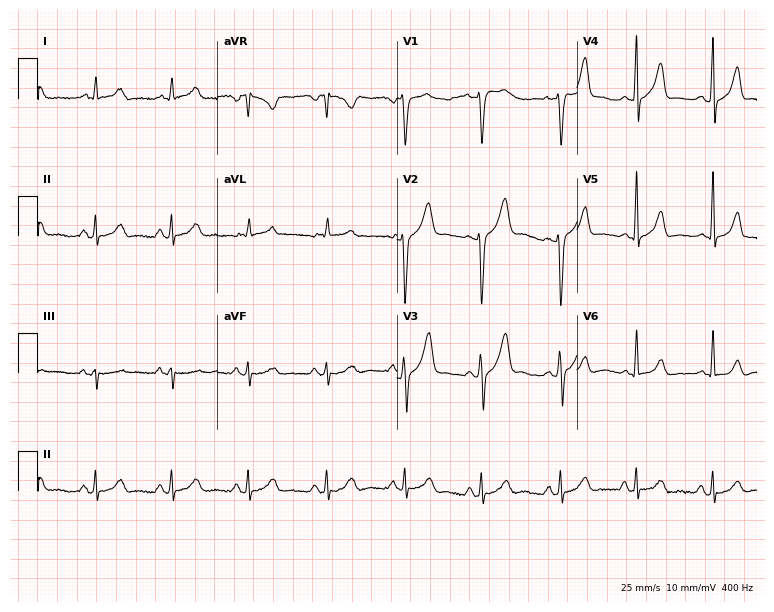
Resting 12-lead electrocardiogram (7.3-second recording at 400 Hz). Patient: a male, 39 years old. None of these six findings is recorded: first-degree AV block, right bundle branch block, left bundle branch block, sinus bradycardia, atrial fibrillation, sinus tachycardia. Other findings, if any, are not listed.